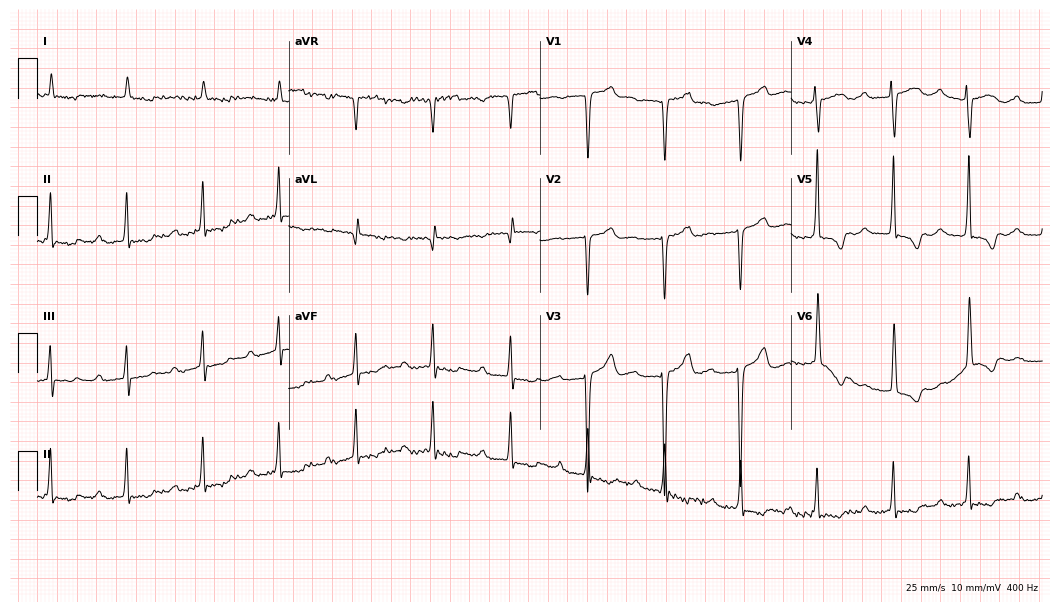
12-lead ECG from a female, 80 years old. Shows first-degree AV block.